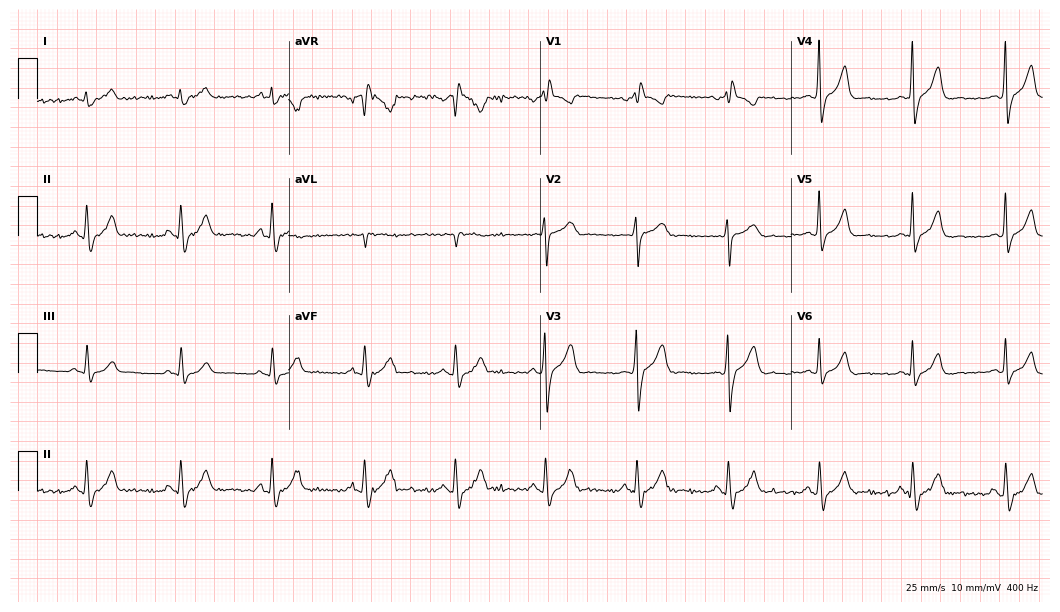
12-lead ECG from a 50-year-old male patient (10.2-second recording at 400 Hz). Shows right bundle branch block (RBBB).